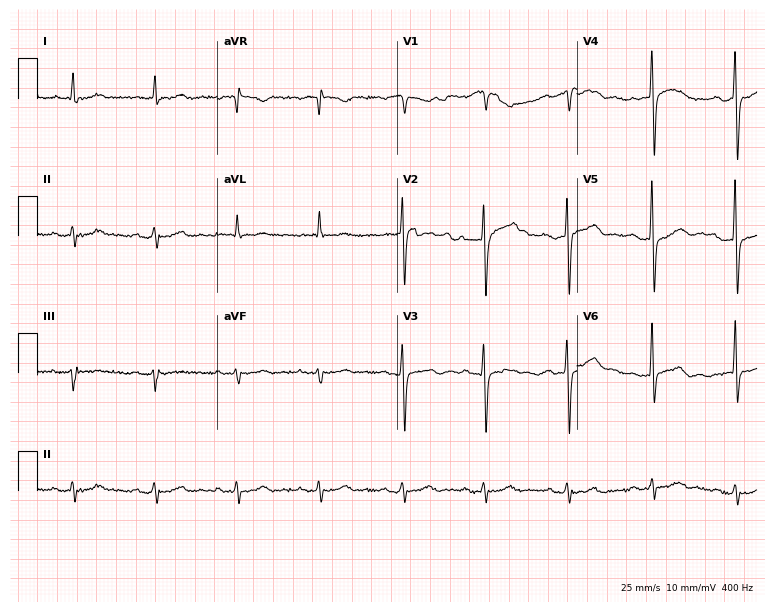
12-lead ECG from a male, 80 years old (7.3-second recording at 400 Hz). Recorded interpretation: within normal limits.